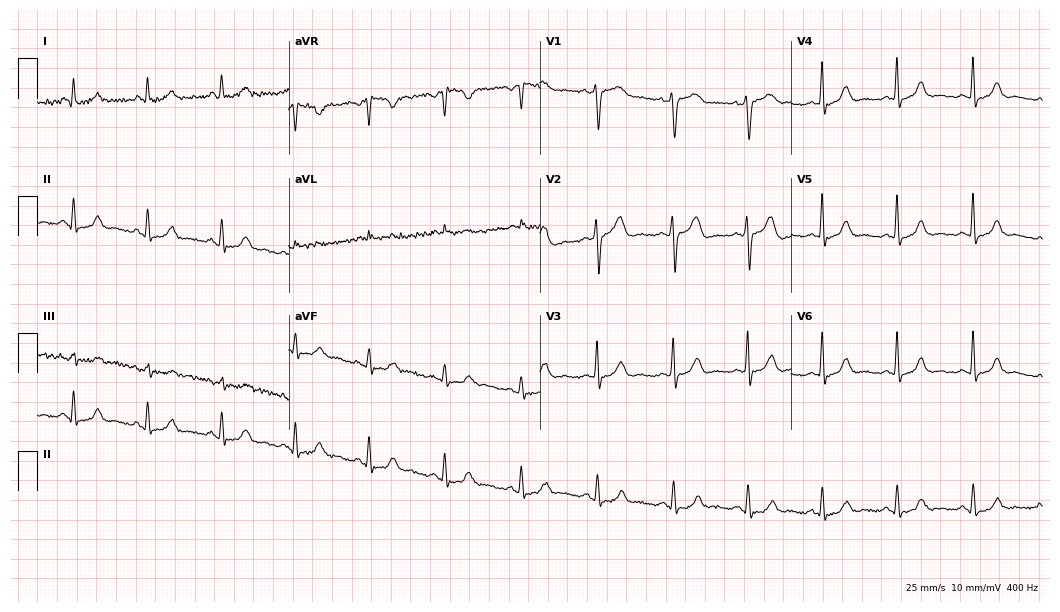
Electrocardiogram (10.2-second recording at 400 Hz), a female patient, 62 years old. Of the six screened findings (first-degree AV block, right bundle branch block, left bundle branch block, sinus bradycardia, atrial fibrillation, sinus tachycardia), none is recorded. Other findings, if any, are not listed.